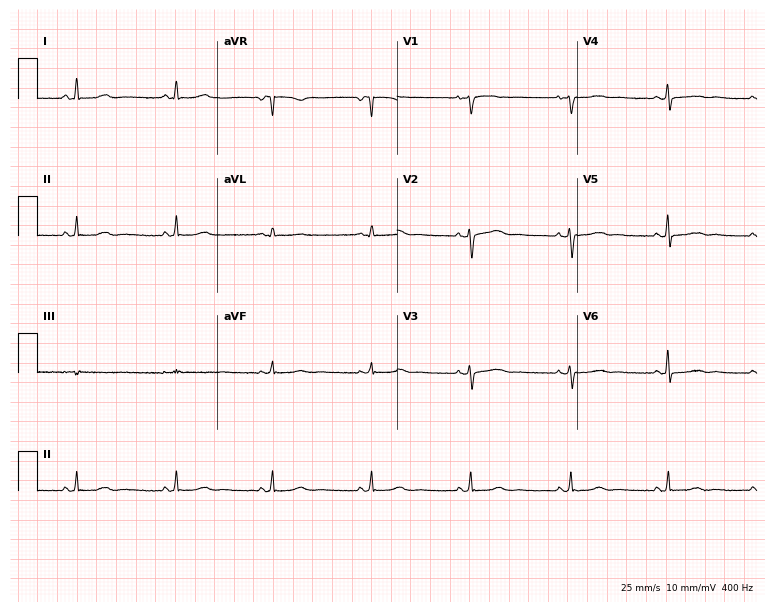
Standard 12-lead ECG recorded from a woman, 57 years old. None of these six findings is recorded: first-degree AV block, right bundle branch block (RBBB), left bundle branch block (LBBB), sinus bradycardia, atrial fibrillation (AF), sinus tachycardia. Other findings, if any, are not listed.